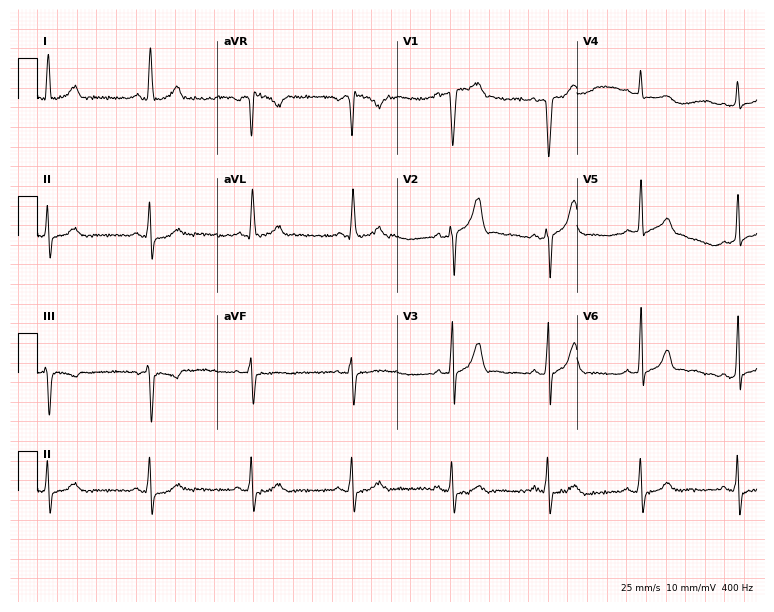
12-lead ECG from a 34-year-old man (7.3-second recording at 400 Hz). No first-degree AV block, right bundle branch block, left bundle branch block, sinus bradycardia, atrial fibrillation or sinus tachycardia recorded for this tracing.